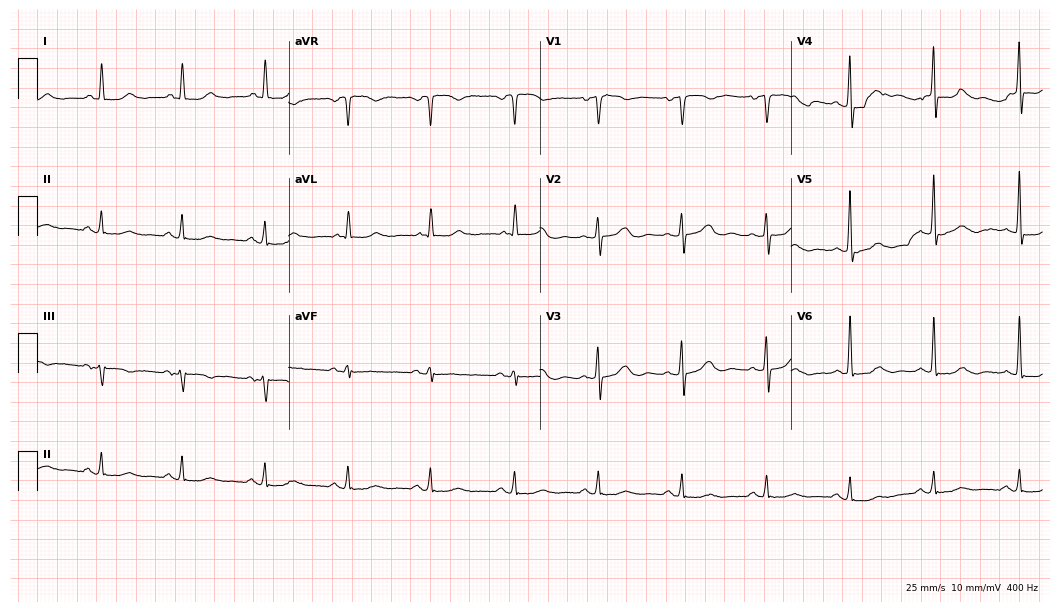
Electrocardiogram (10.2-second recording at 400 Hz), a woman, 79 years old. Overall reading on record: normal ECG.